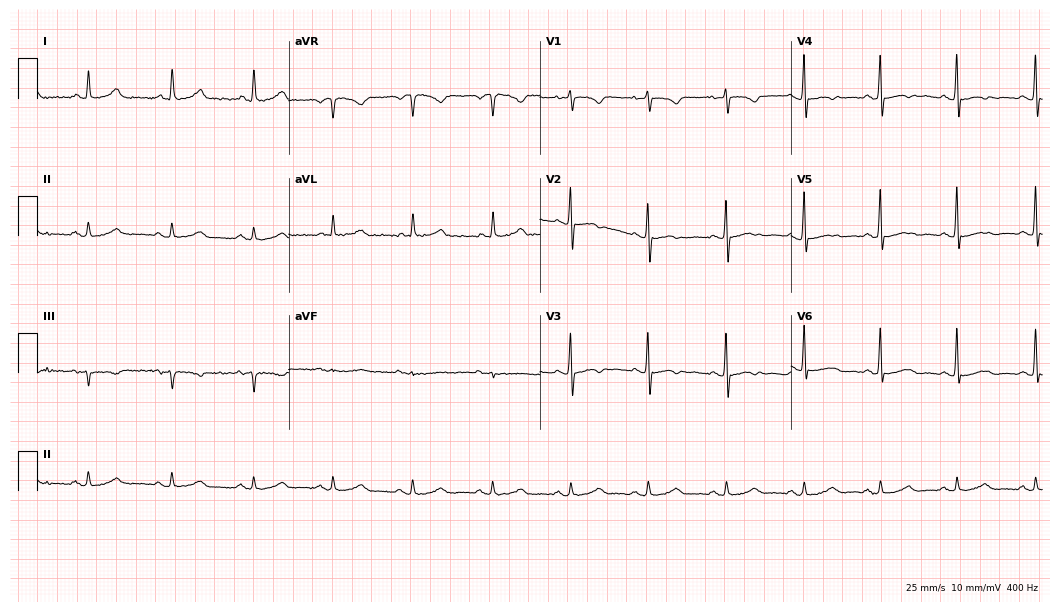
Resting 12-lead electrocardiogram. Patient: a 62-year-old woman. Read as a normal ECG.